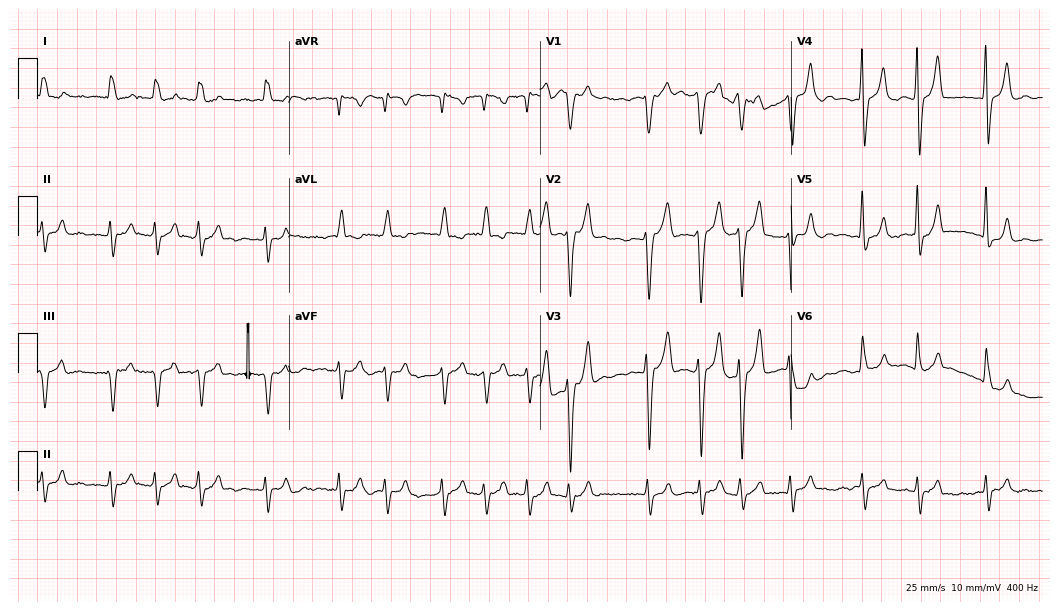
Electrocardiogram, an 81-year-old male patient. Of the six screened findings (first-degree AV block, right bundle branch block, left bundle branch block, sinus bradycardia, atrial fibrillation, sinus tachycardia), none is recorded.